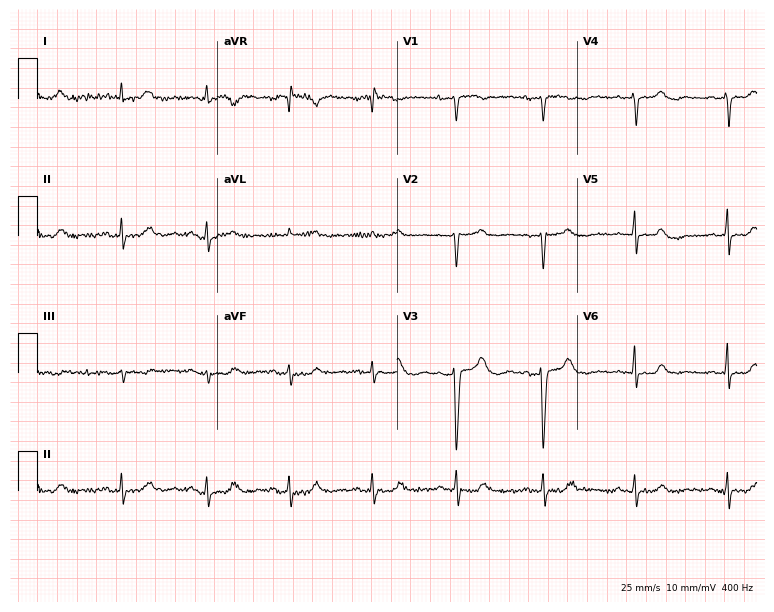
12-lead ECG from a 71-year-old female. Recorded interpretation: within normal limits.